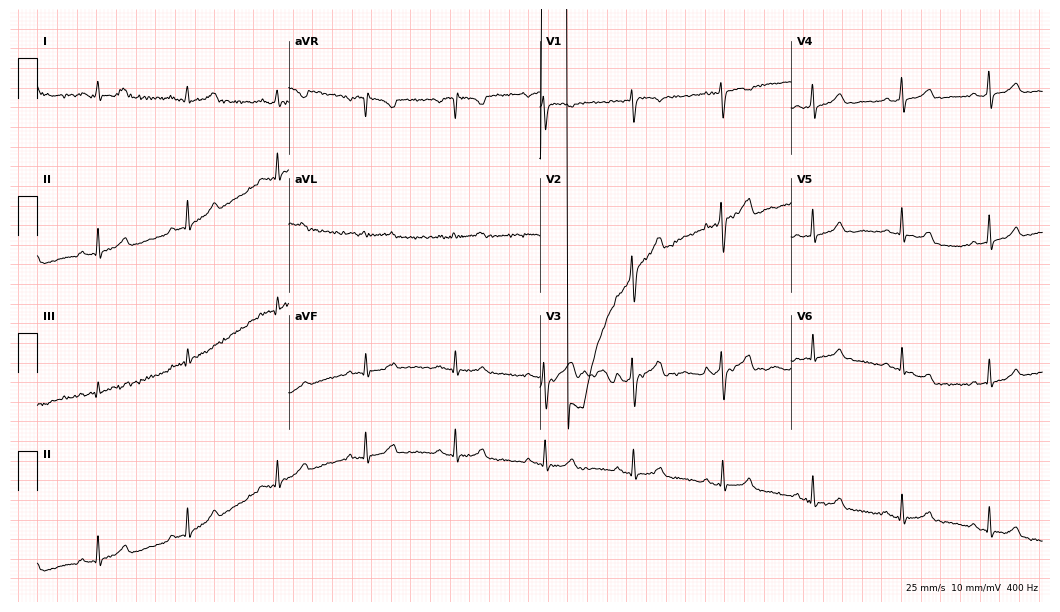
Electrocardiogram, a female, 38 years old. Of the six screened findings (first-degree AV block, right bundle branch block, left bundle branch block, sinus bradycardia, atrial fibrillation, sinus tachycardia), none is recorded.